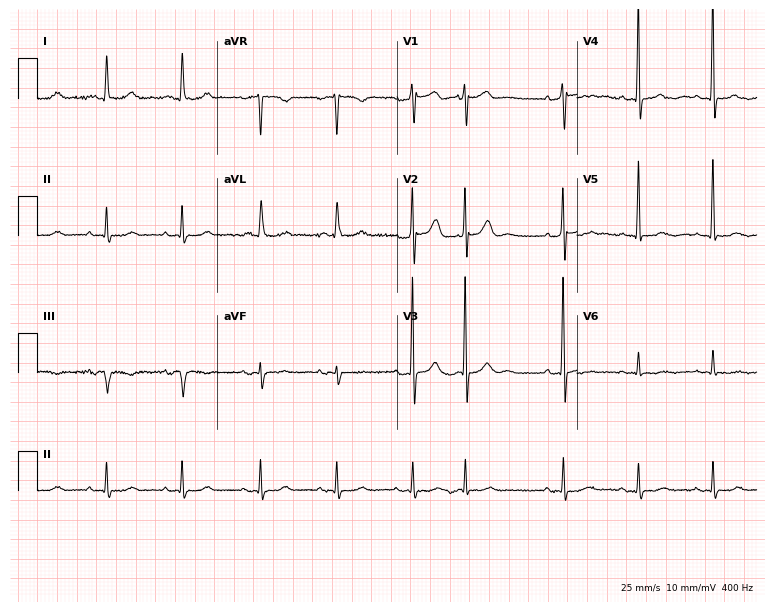
ECG (7.3-second recording at 400 Hz) — a 74-year-old woman. Screened for six findings — first-degree AV block, right bundle branch block, left bundle branch block, sinus bradycardia, atrial fibrillation, sinus tachycardia — none is recorded. Findings outside these six are not listed.